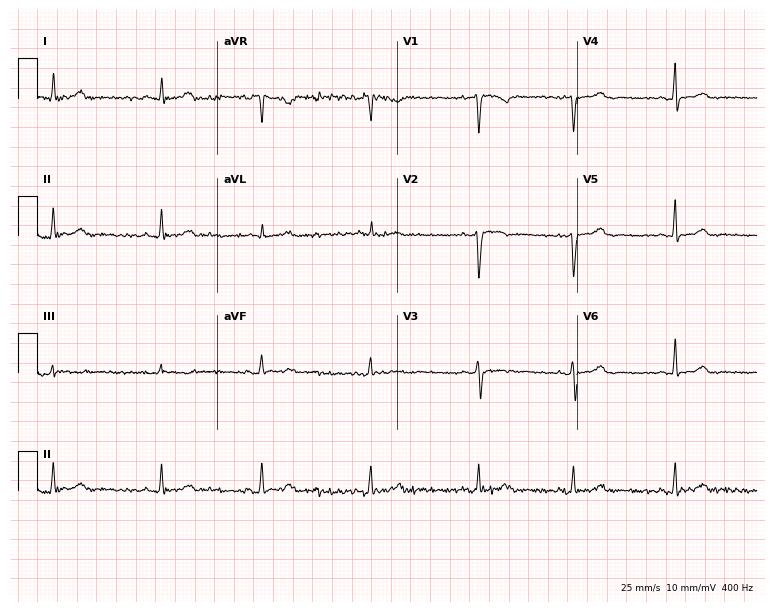
12-lead ECG from a male, 30 years old. Recorded interpretation: within normal limits.